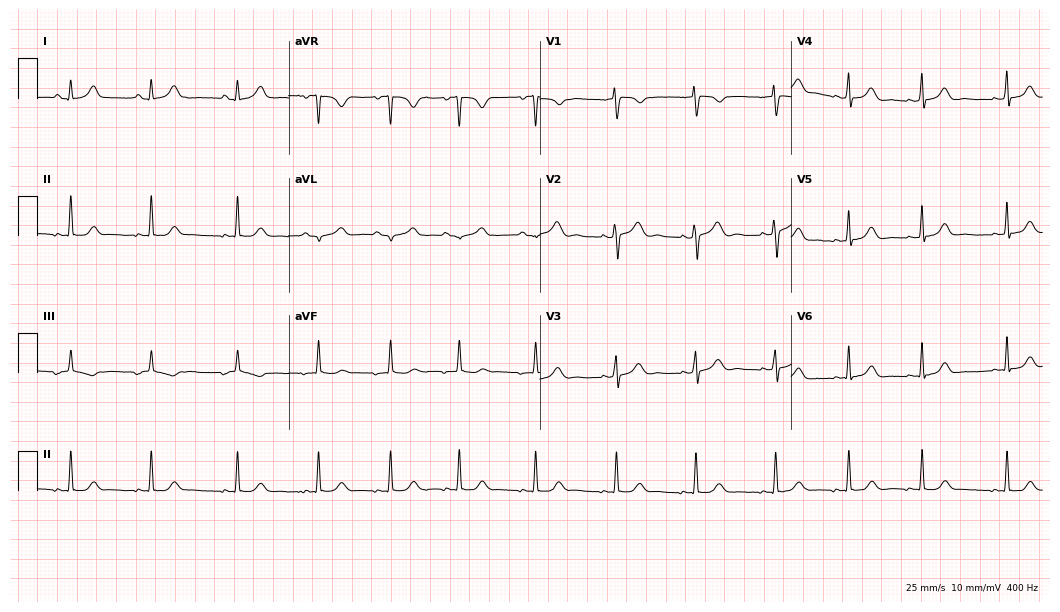
Electrocardiogram (10.2-second recording at 400 Hz), a woman, 25 years old. Of the six screened findings (first-degree AV block, right bundle branch block (RBBB), left bundle branch block (LBBB), sinus bradycardia, atrial fibrillation (AF), sinus tachycardia), none is recorded. Other findings, if any, are not listed.